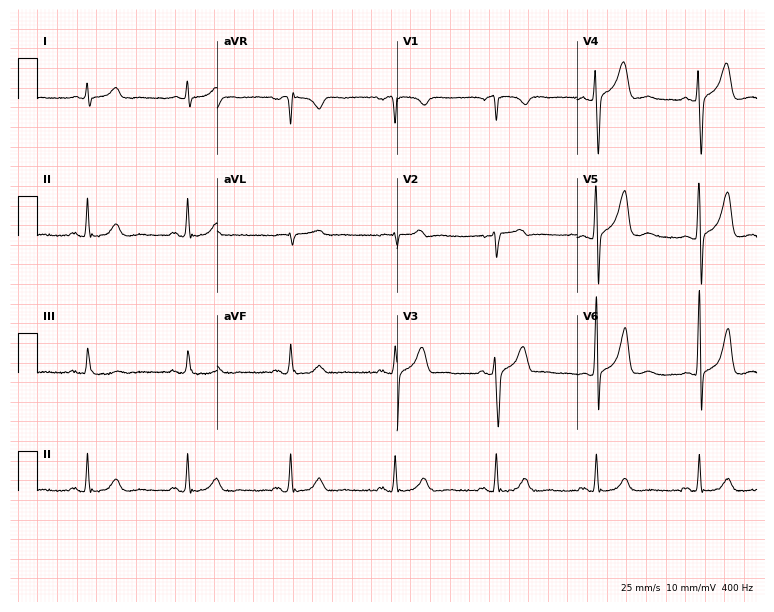
ECG — a man, 57 years old. Labelled as a normal ECG.